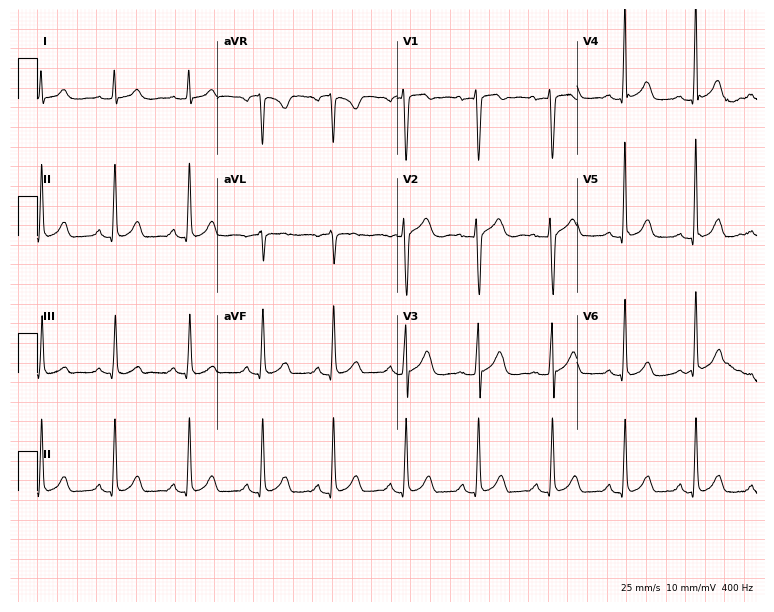
Electrocardiogram, a woman, 43 years old. Overall reading on record: normal ECG.